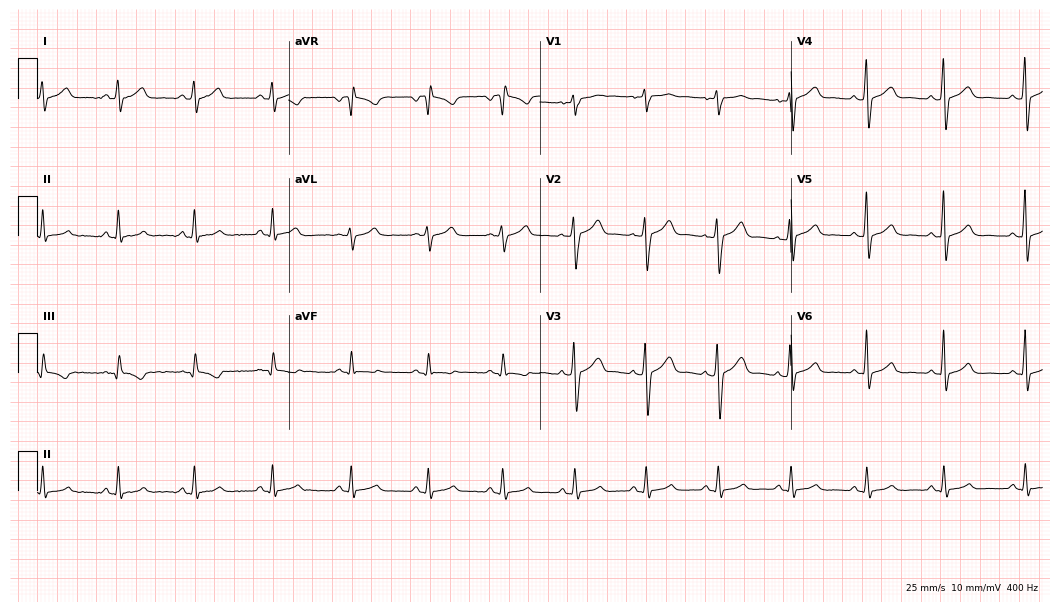
12-lead ECG from a 28-year-old man (10.2-second recording at 400 Hz). Recorded interpretation: within normal limits.